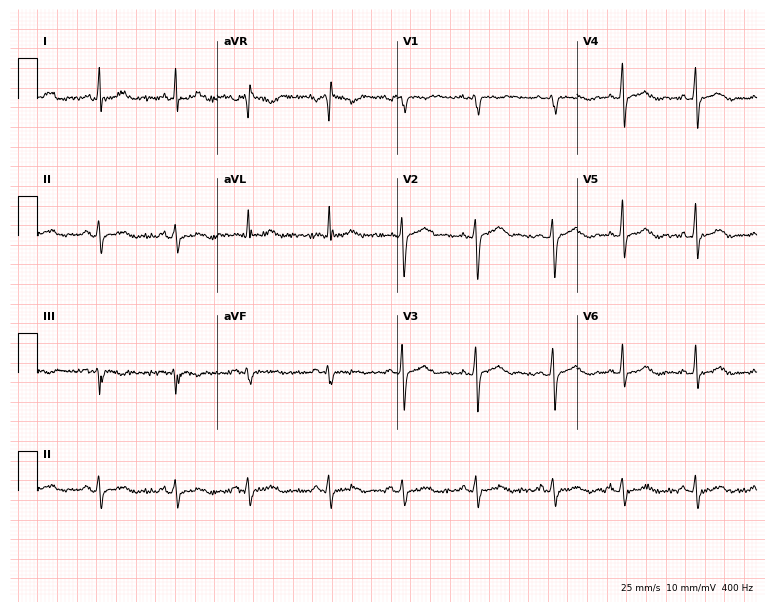
12-lead ECG from a 21-year-old woman (7.3-second recording at 400 Hz). No first-degree AV block, right bundle branch block, left bundle branch block, sinus bradycardia, atrial fibrillation or sinus tachycardia recorded for this tracing. Other findings, if any, are not listed.